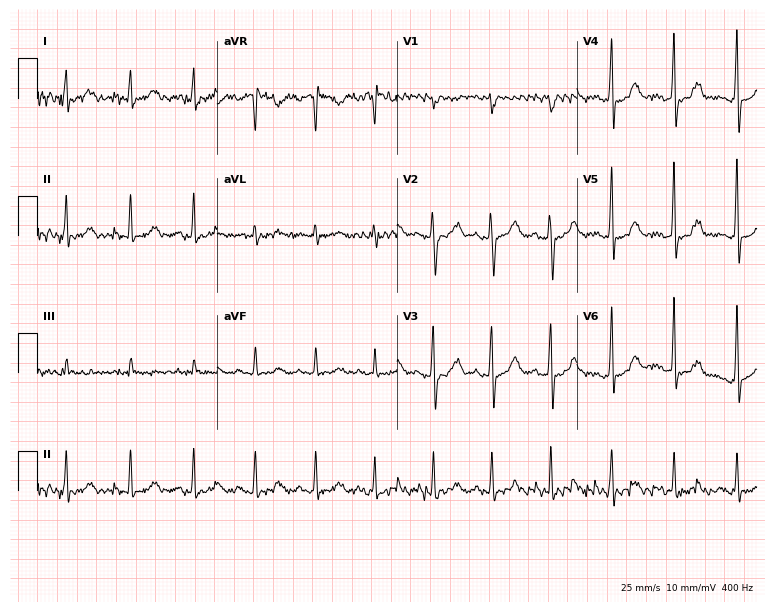
Standard 12-lead ECG recorded from a female patient, 25 years old (7.3-second recording at 400 Hz). None of these six findings is recorded: first-degree AV block, right bundle branch block, left bundle branch block, sinus bradycardia, atrial fibrillation, sinus tachycardia. Other findings, if any, are not listed.